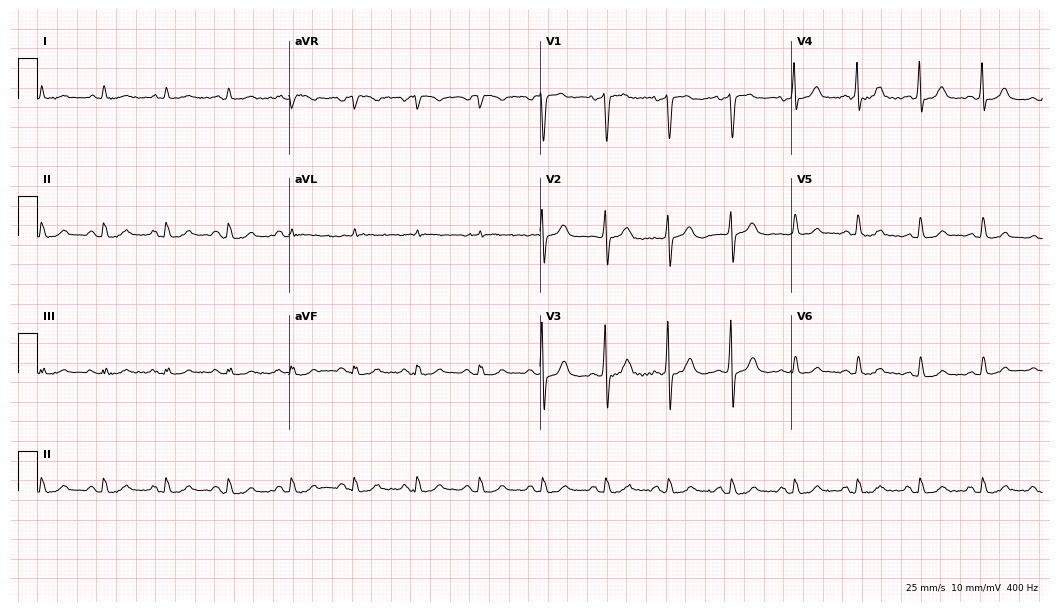
ECG — a 73-year-old male. Screened for six findings — first-degree AV block, right bundle branch block, left bundle branch block, sinus bradycardia, atrial fibrillation, sinus tachycardia — none is recorded.